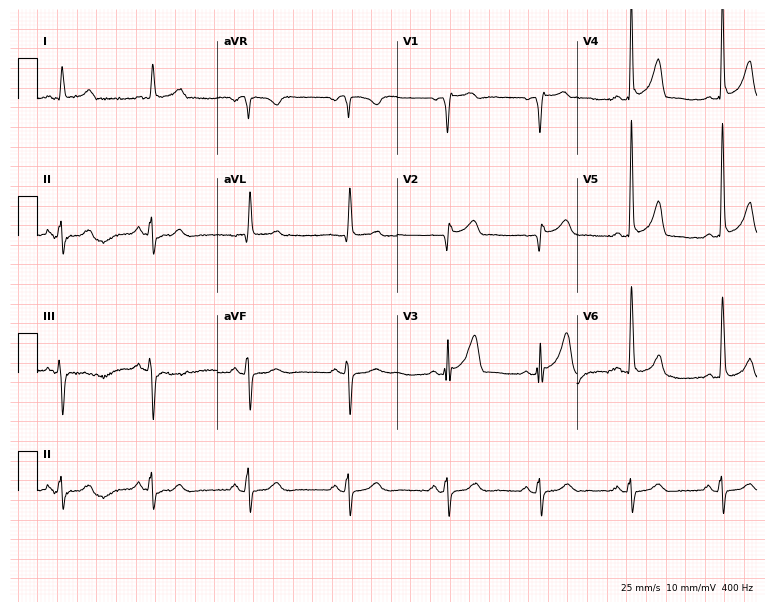
Standard 12-lead ECG recorded from a 73-year-old man. None of these six findings is recorded: first-degree AV block, right bundle branch block (RBBB), left bundle branch block (LBBB), sinus bradycardia, atrial fibrillation (AF), sinus tachycardia. Findings outside these six are not listed.